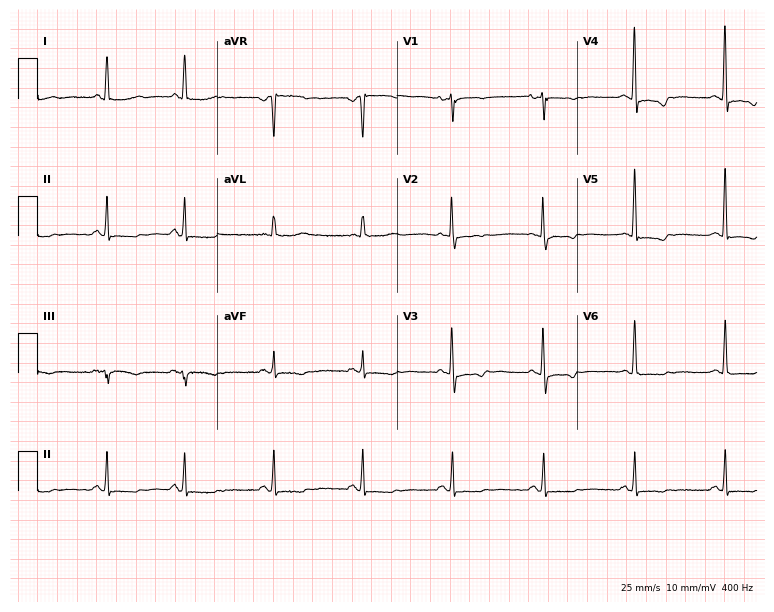
12-lead ECG from a female patient, 65 years old (7.3-second recording at 400 Hz). No first-degree AV block, right bundle branch block, left bundle branch block, sinus bradycardia, atrial fibrillation or sinus tachycardia recorded for this tracing.